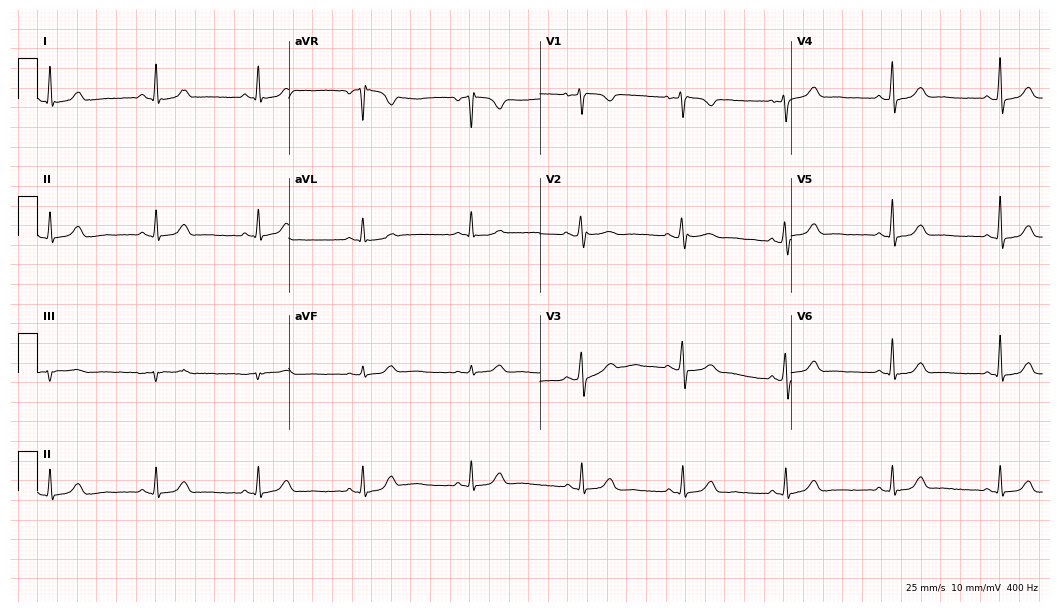
Resting 12-lead electrocardiogram. Patient: a female, 48 years old. Read as a normal ECG.